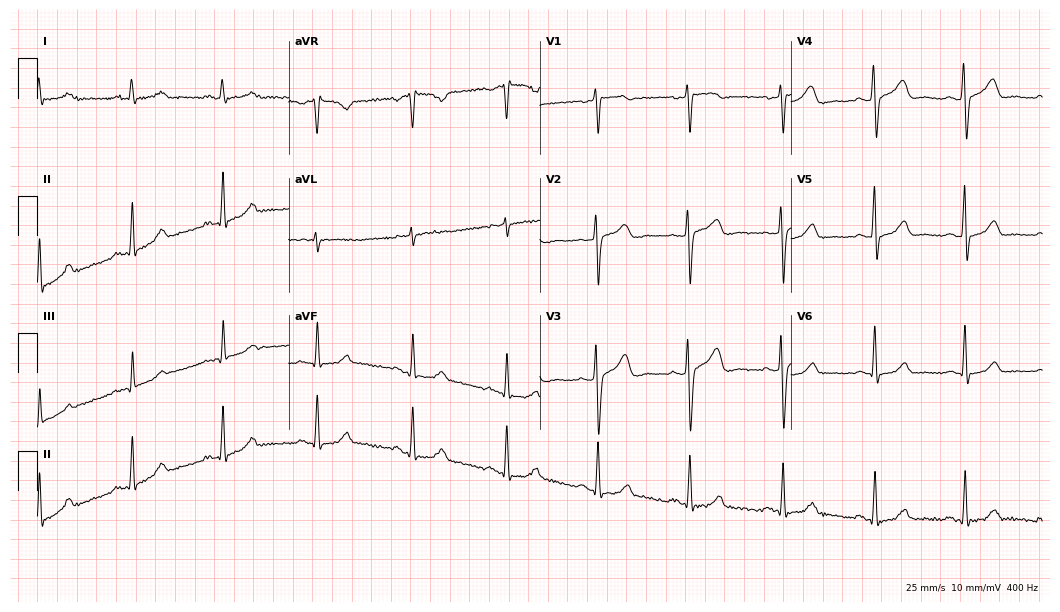
12-lead ECG (10.2-second recording at 400 Hz) from a 47-year-old female patient. Labelled as a normal ECG.